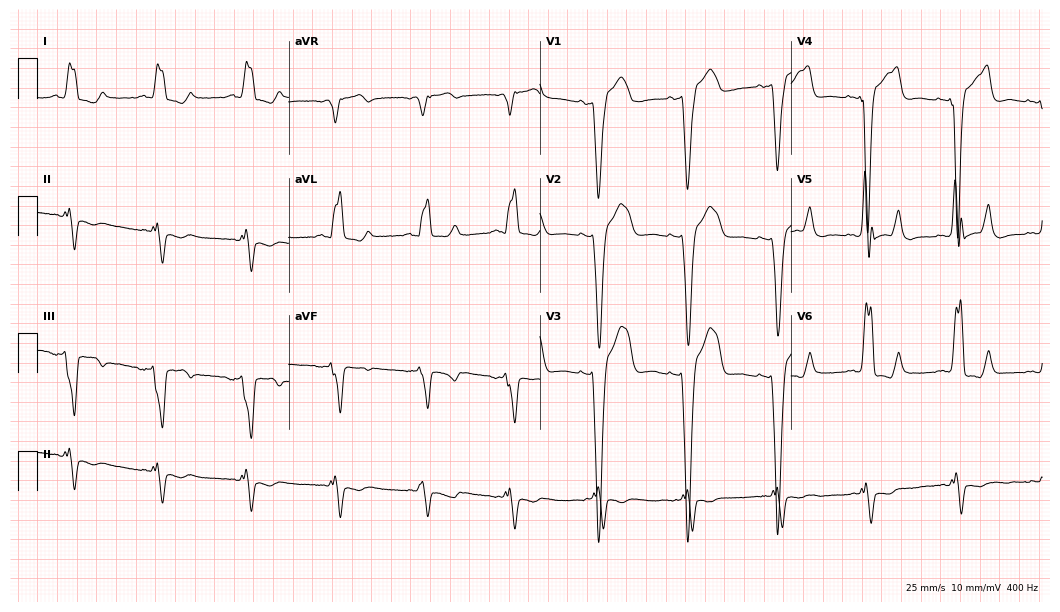
Electrocardiogram (10.2-second recording at 400 Hz), a 65-year-old male. Interpretation includes left bundle branch block.